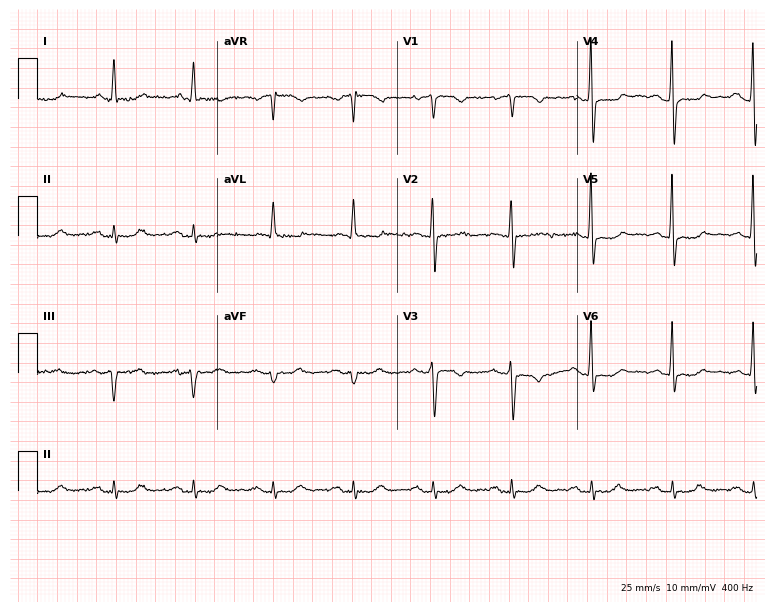
Electrocardiogram (7.3-second recording at 400 Hz), a 64-year-old female. Of the six screened findings (first-degree AV block, right bundle branch block, left bundle branch block, sinus bradycardia, atrial fibrillation, sinus tachycardia), none is recorded.